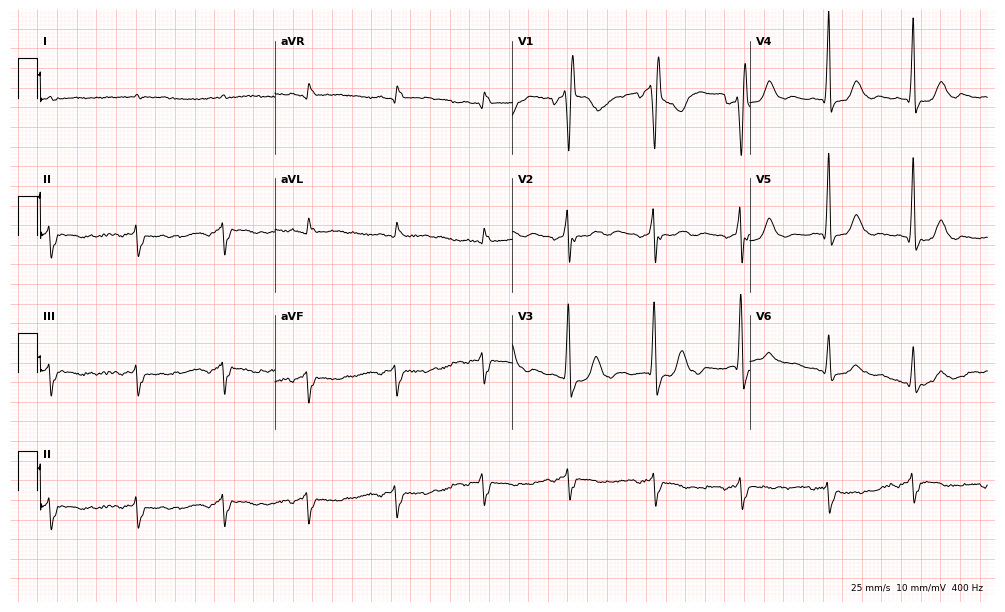
12-lead ECG (9.7-second recording at 400 Hz) from a 64-year-old female patient. Findings include right bundle branch block.